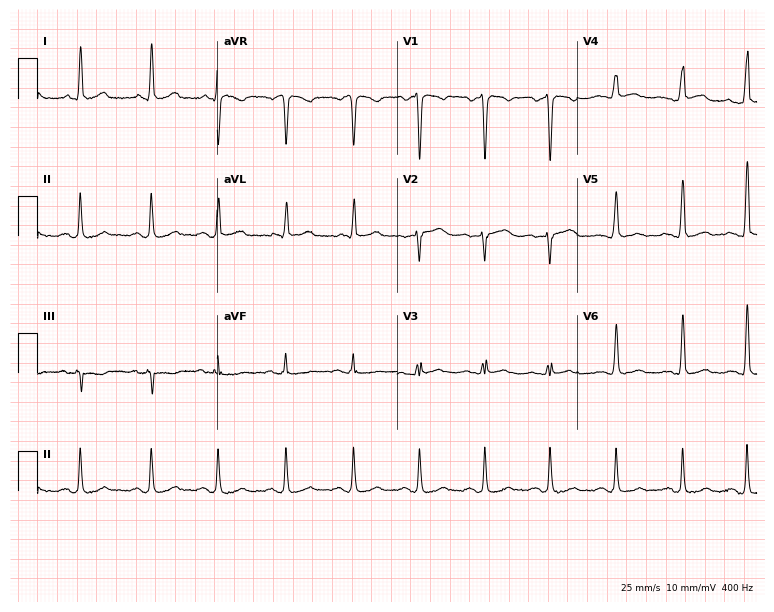
Electrocardiogram (7.3-second recording at 400 Hz), a 39-year-old woman. Overall reading on record: normal ECG.